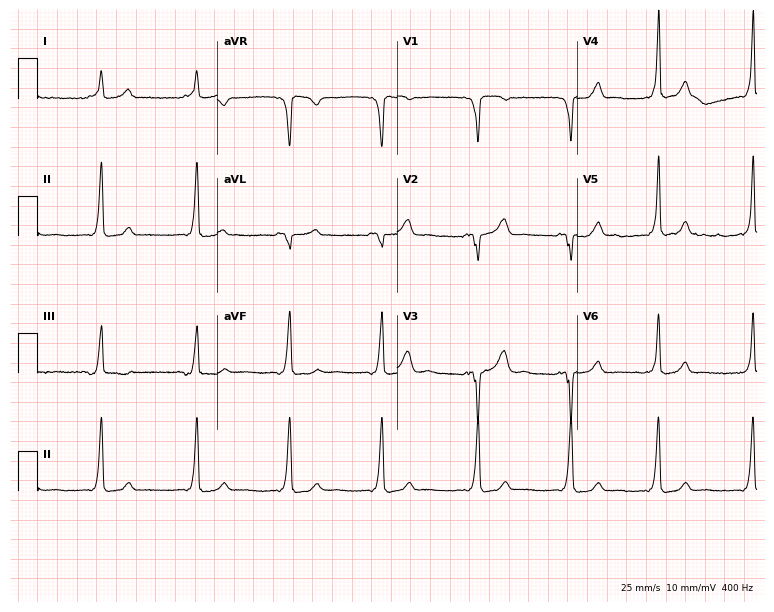
12-lead ECG from a 30-year-old female patient. No first-degree AV block, right bundle branch block (RBBB), left bundle branch block (LBBB), sinus bradycardia, atrial fibrillation (AF) or sinus tachycardia recorded for this tracing.